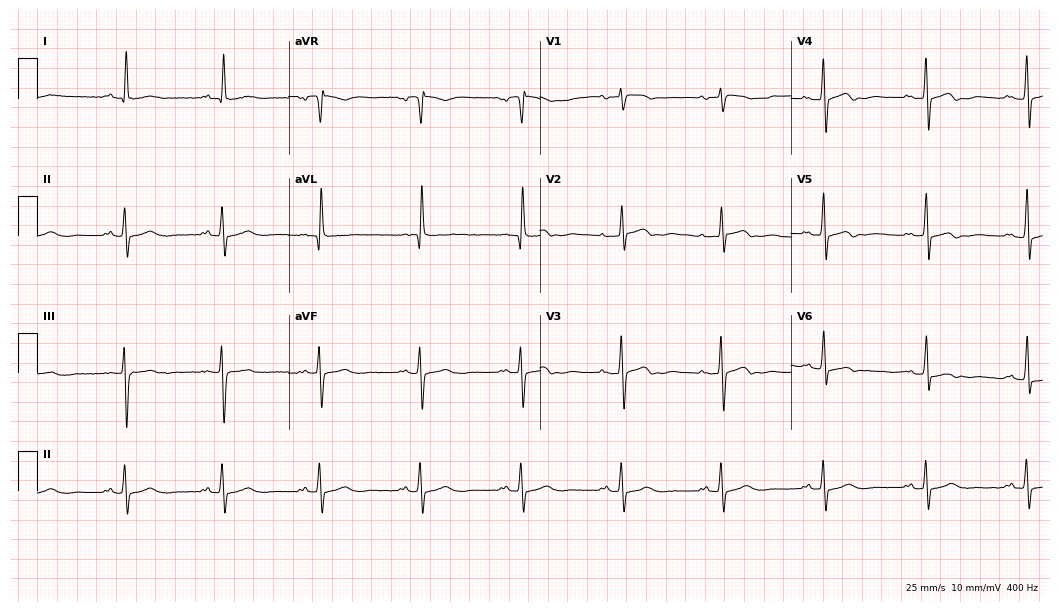
Electrocardiogram, a 76-year-old woman. Of the six screened findings (first-degree AV block, right bundle branch block (RBBB), left bundle branch block (LBBB), sinus bradycardia, atrial fibrillation (AF), sinus tachycardia), none is recorded. Only these six findings were labelled.